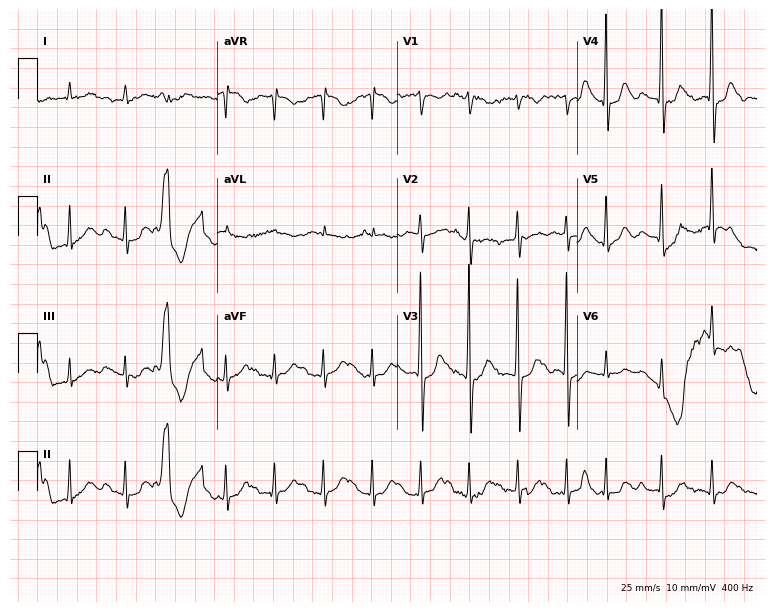
Electrocardiogram (7.3-second recording at 400 Hz), a woman, 81 years old. Of the six screened findings (first-degree AV block, right bundle branch block, left bundle branch block, sinus bradycardia, atrial fibrillation, sinus tachycardia), none is recorded.